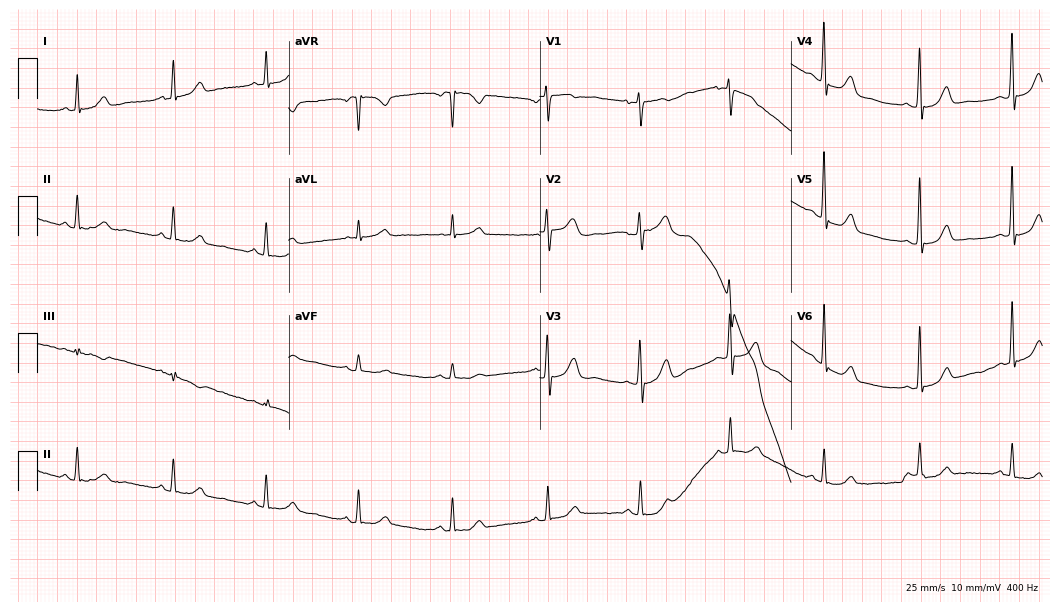
Electrocardiogram (10.2-second recording at 400 Hz), a woman, 58 years old. Overall reading on record: normal ECG.